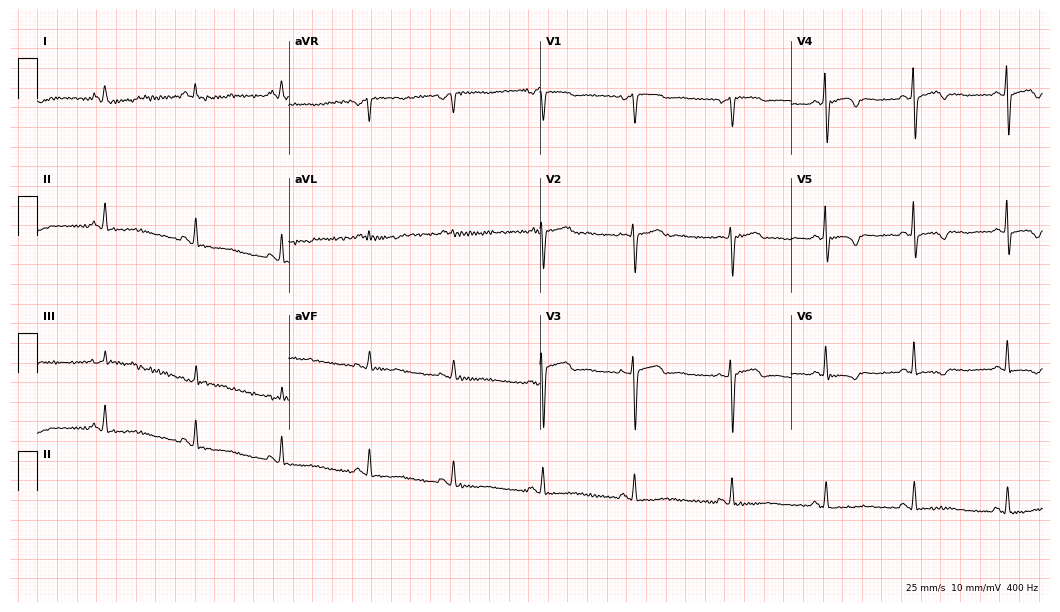
Standard 12-lead ECG recorded from a female, 43 years old (10.2-second recording at 400 Hz). None of these six findings is recorded: first-degree AV block, right bundle branch block, left bundle branch block, sinus bradycardia, atrial fibrillation, sinus tachycardia. Other findings, if any, are not listed.